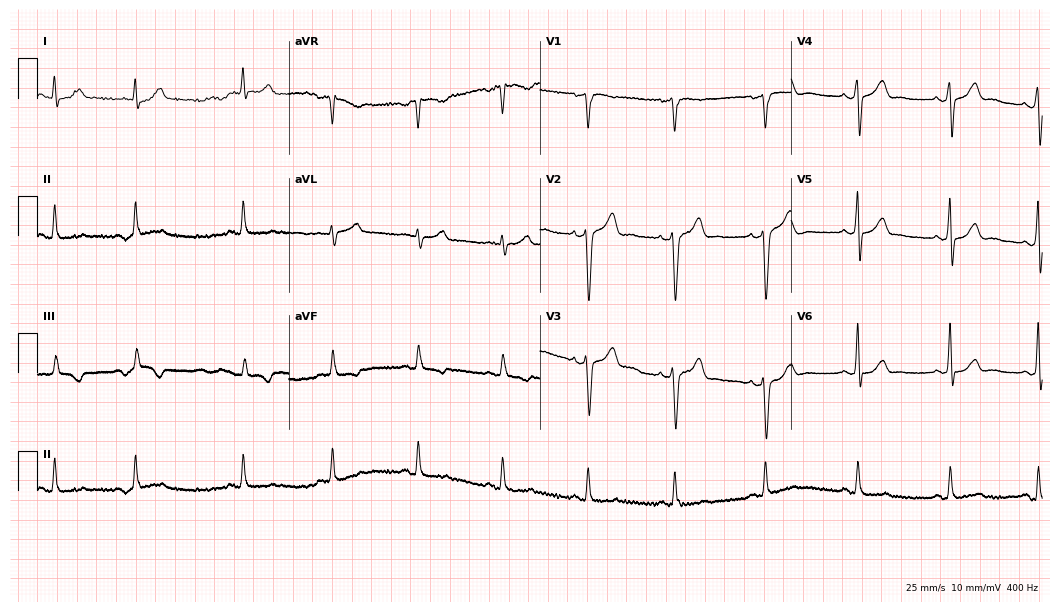
ECG — a man, 35 years old. Labelled as a normal ECG.